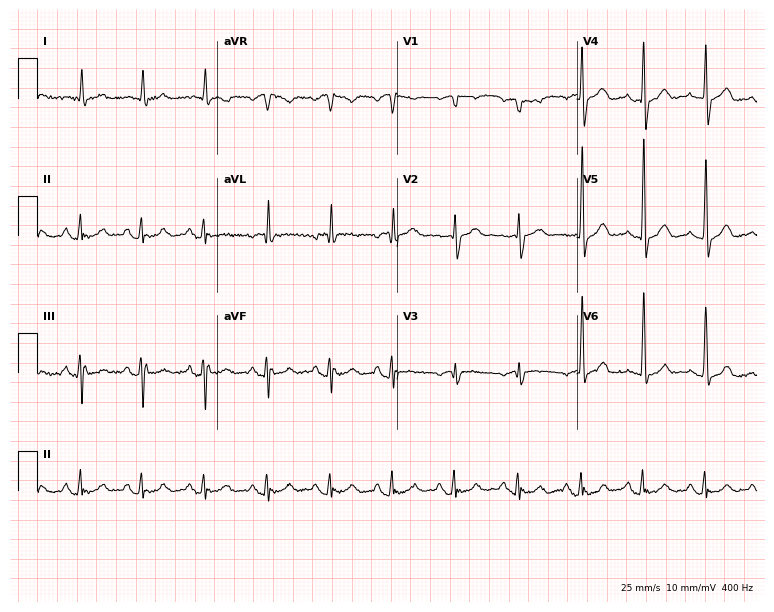
Standard 12-lead ECG recorded from a 78-year-old man (7.3-second recording at 400 Hz). Read as a normal ECG.